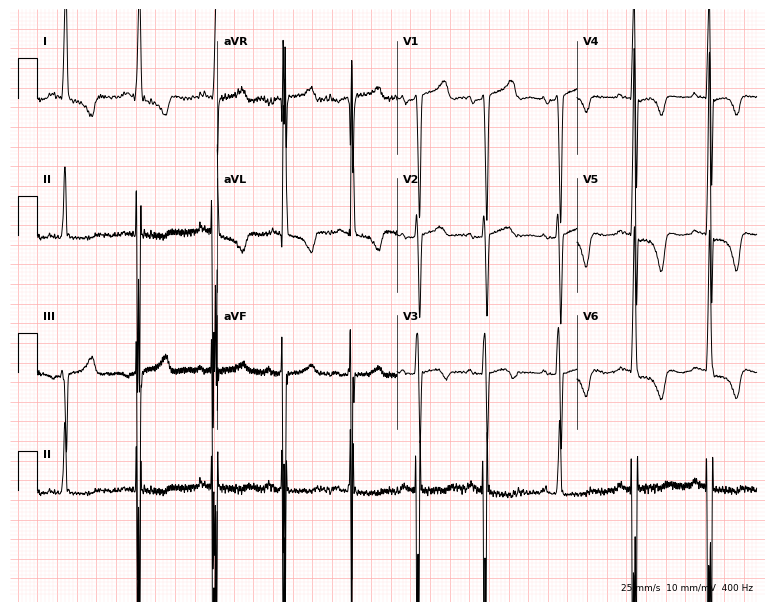
12-lead ECG from a 75-year-old woman. No first-degree AV block, right bundle branch block, left bundle branch block, sinus bradycardia, atrial fibrillation or sinus tachycardia recorded for this tracing. Findings outside these six are not listed.